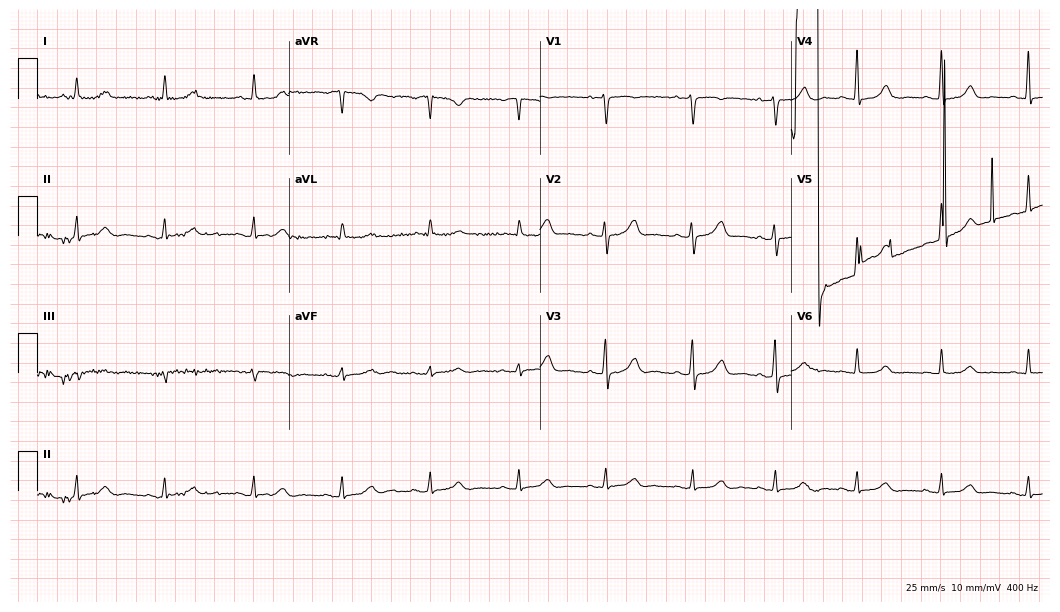
Electrocardiogram, a female, 59 years old. Of the six screened findings (first-degree AV block, right bundle branch block, left bundle branch block, sinus bradycardia, atrial fibrillation, sinus tachycardia), none is recorded. Other findings, if any, are not listed.